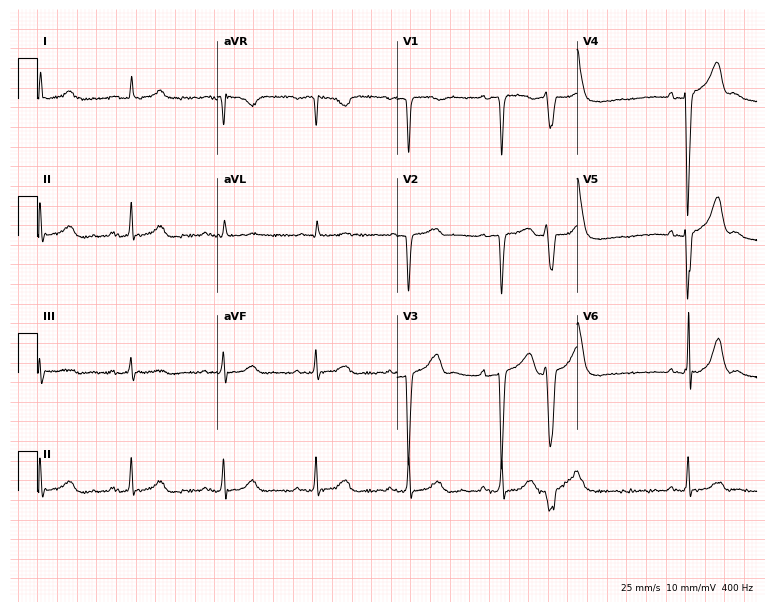
12-lead ECG from a man, 85 years old. No first-degree AV block, right bundle branch block, left bundle branch block, sinus bradycardia, atrial fibrillation or sinus tachycardia recorded for this tracing. Other findings, if any, are not listed.